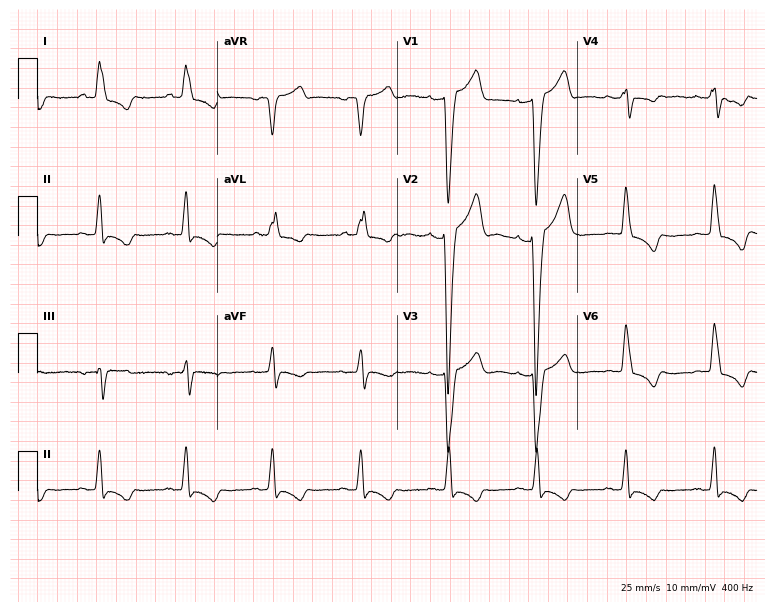
Standard 12-lead ECG recorded from an 83-year-old man. None of these six findings is recorded: first-degree AV block, right bundle branch block (RBBB), left bundle branch block (LBBB), sinus bradycardia, atrial fibrillation (AF), sinus tachycardia. Only these six findings were labelled.